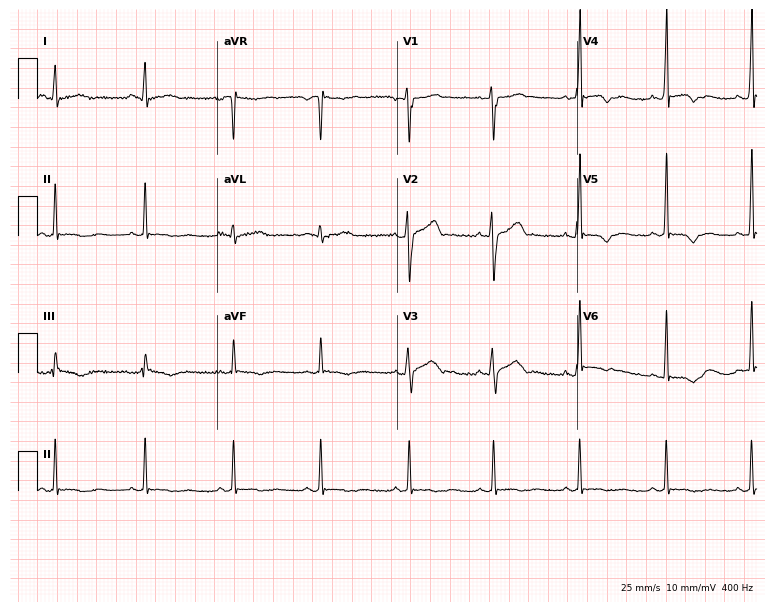
Standard 12-lead ECG recorded from a 23-year-old man. None of these six findings is recorded: first-degree AV block, right bundle branch block, left bundle branch block, sinus bradycardia, atrial fibrillation, sinus tachycardia.